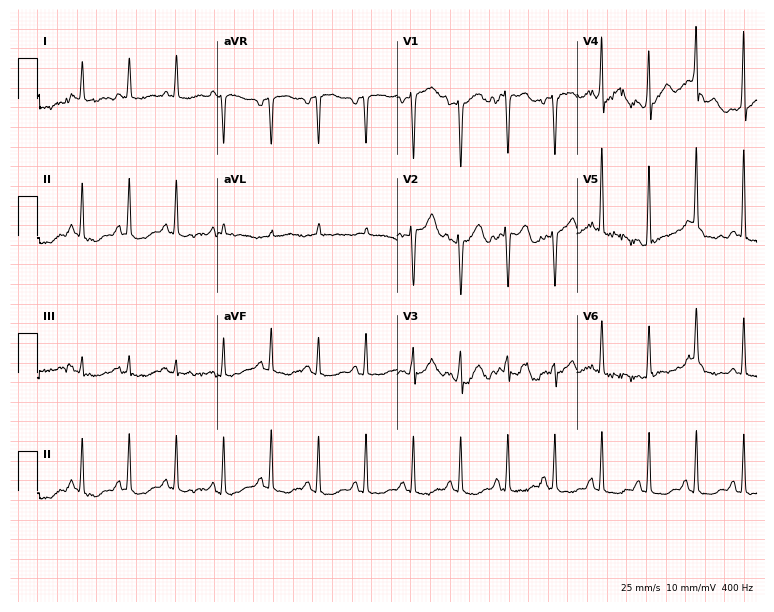
Resting 12-lead electrocardiogram. Patient: a male, 55 years old. The tracing shows sinus tachycardia (a sinus rate of 100 beats per minute or more).